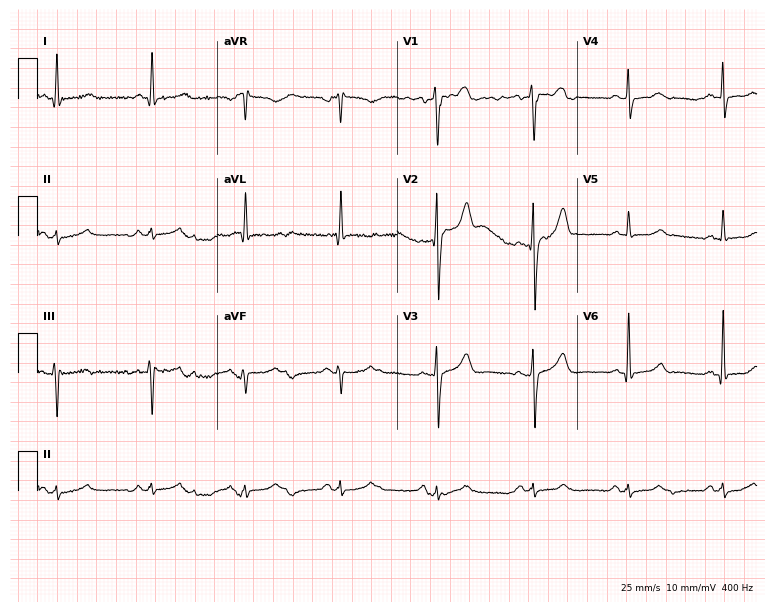
12-lead ECG from a male patient, 65 years old. Labelled as a normal ECG.